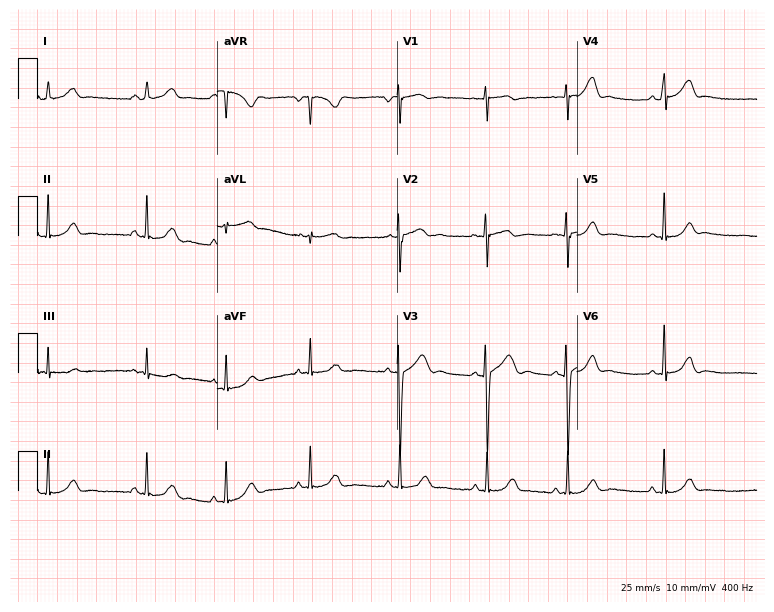
12-lead ECG from a 21-year-old female patient (7.3-second recording at 400 Hz). Recorded interpretation: within normal limits.